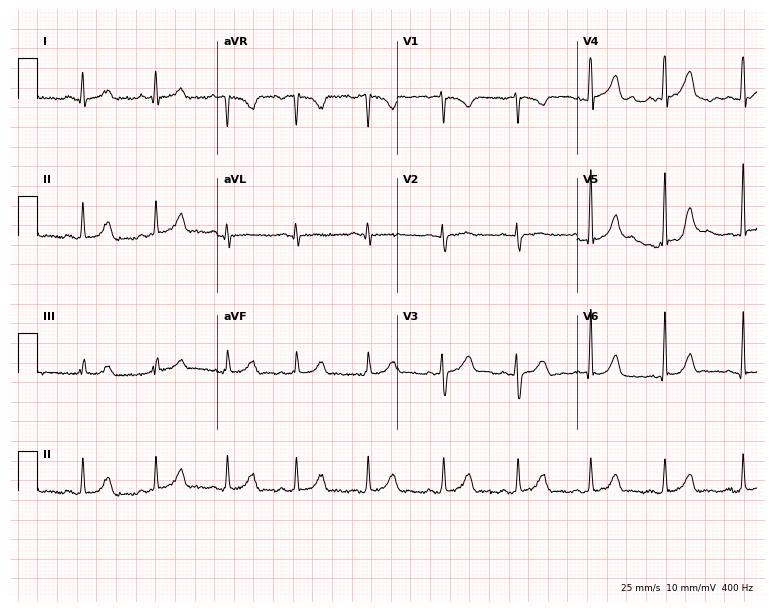
Standard 12-lead ECG recorded from a female patient, 20 years old. Read as a normal ECG.